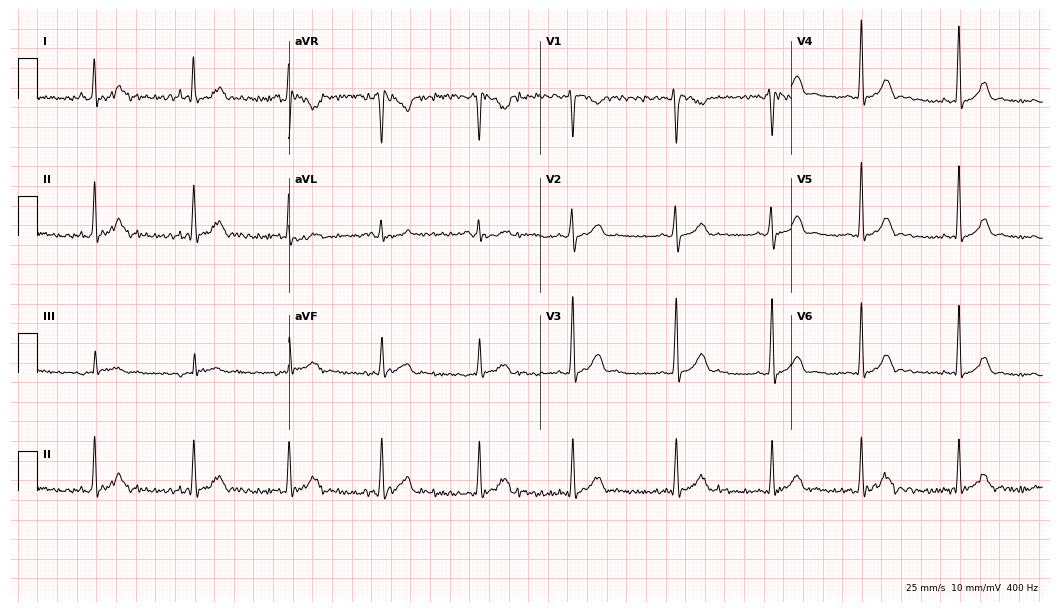
Standard 12-lead ECG recorded from a 19-year-old male patient. Read as a normal ECG.